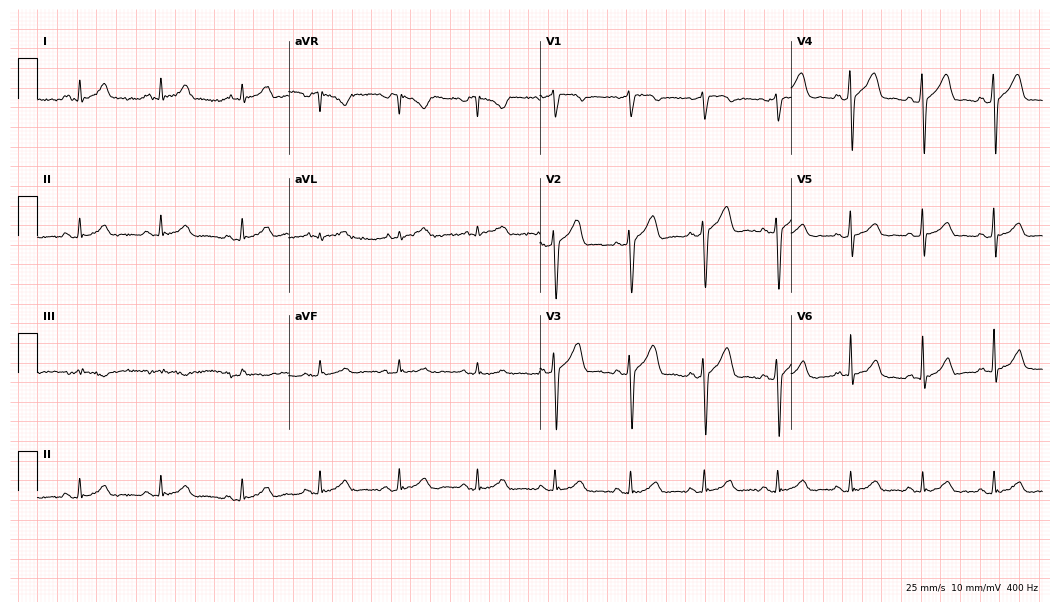
ECG (10.2-second recording at 400 Hz) — a man, 45 years old. Labelled as a normal ECG.